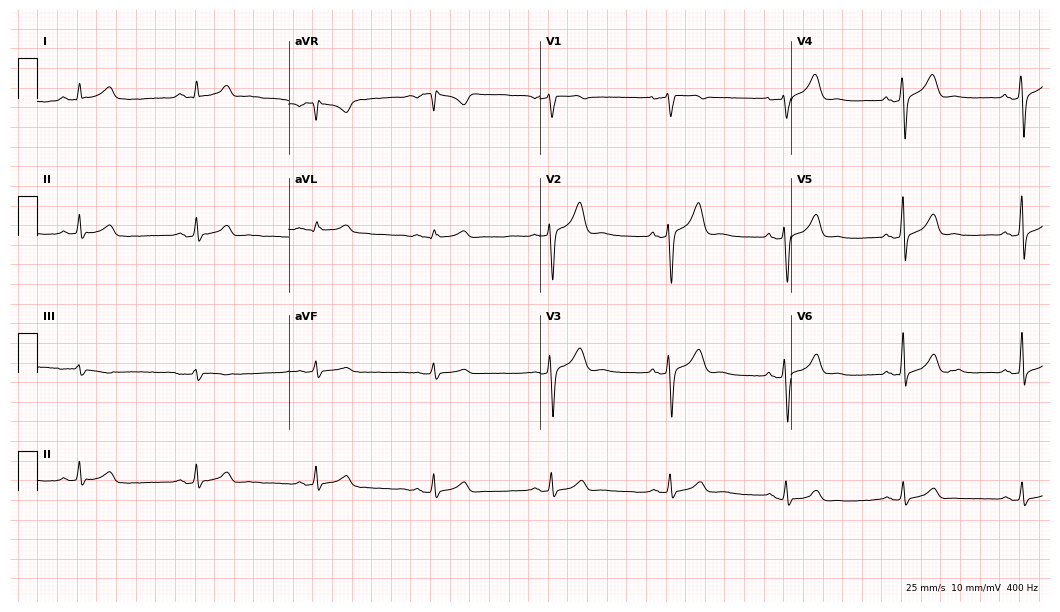
ECG (10.2-second recording at 400 Hz) — a 45-year-old man. Labelled as a normal ECG.